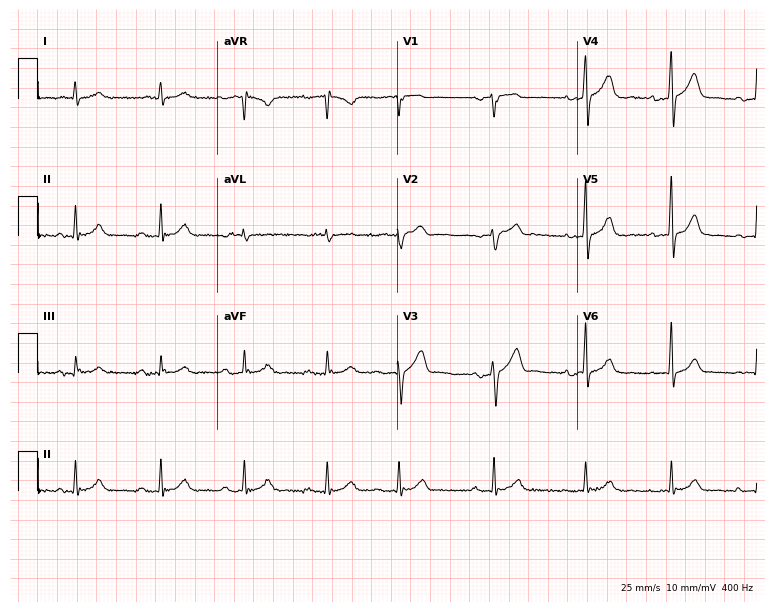
ECG (7.3-second recording at 400 Hz) — a 71-year-old male. Labelled as a normal ECG.